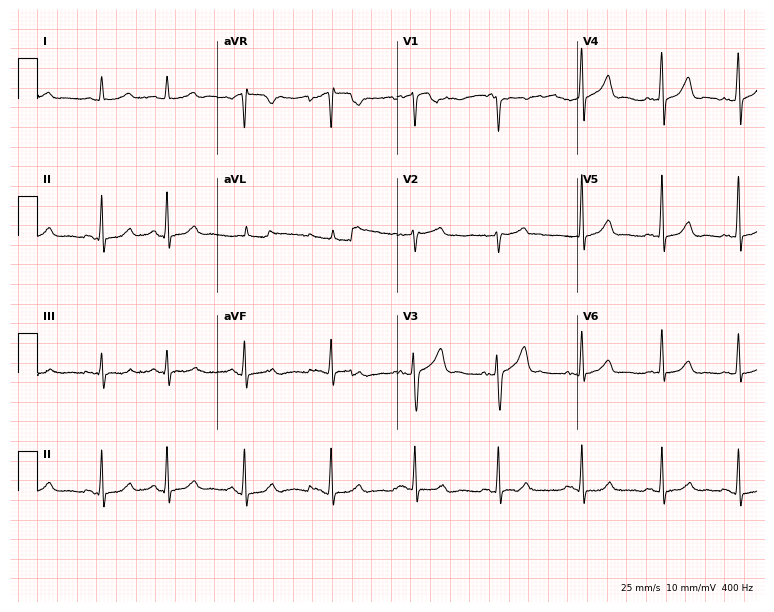
12-lead ECG from a man, 78 years old. Recorded interpretation: within normal limits.